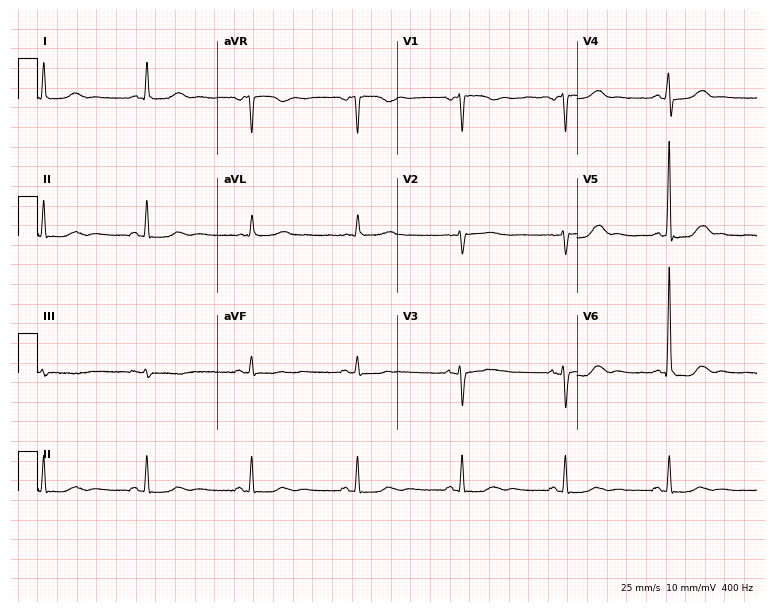
Standard 12-lead ECG recorded from a female patient, 57 years old. Read as a normal ECG.